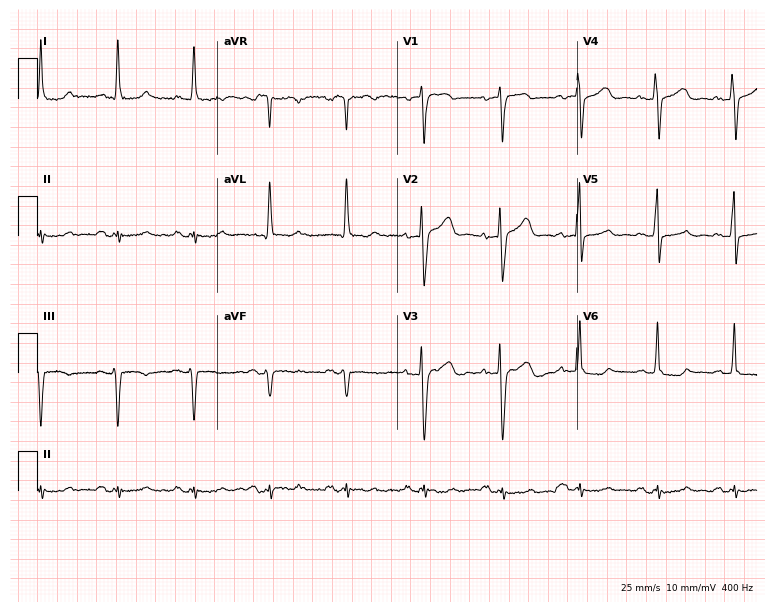
Standard 12-lead ECG recorded from a 75-year-old female patient (7.3-second recording at 400 Hz). None of these six findings is recorded: first-degree AV block, right bundle branch block, left bundle branch block, sinus bradycardia, atrial fibrillation, sinus tachycardia. Findings outside these six are not listed.